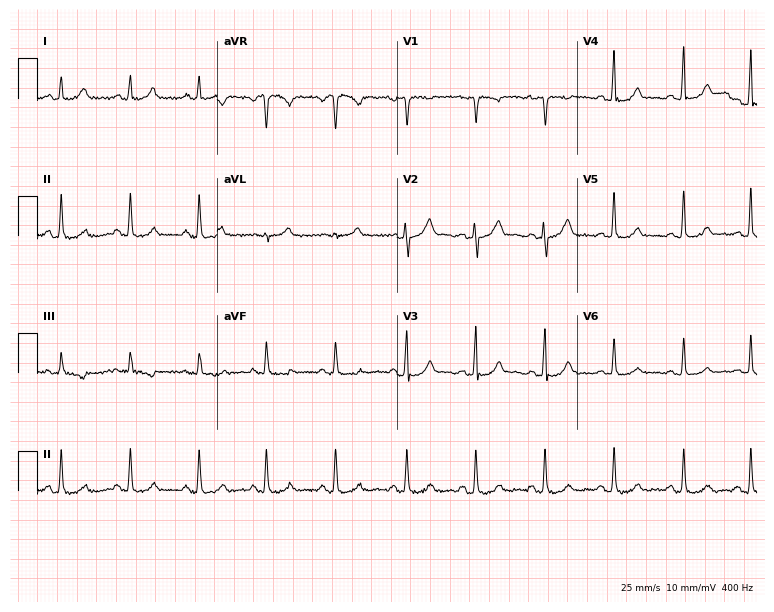
12-lead ECG from a 32-year-old woman. Labelled as a normal ECG.